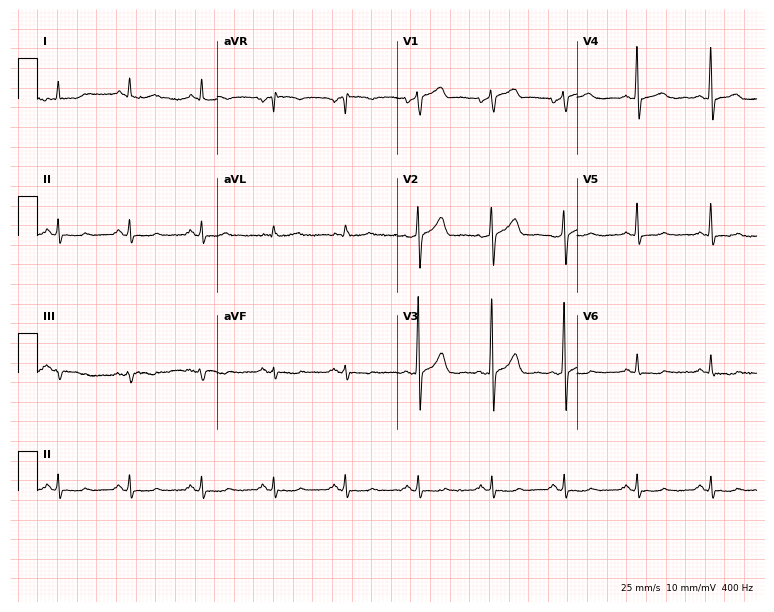
12-lead ECG (7.3-second recording at 400 Hz) from a man, 67 years old. Screened for six findings — first-degree AV block, right bundle branch block, left bundle branch block, sinus bradycardia, atrial fibrillation, sinus tachycardia — none is recorded.